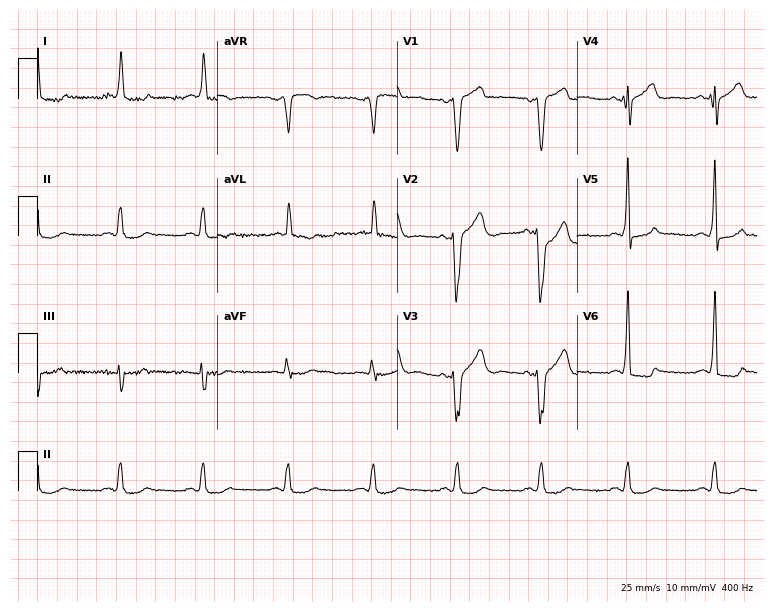
12-lead ECG from a man, 75 years old (7.3-second recording at 400 Hz). No first-degree AV block, right bundle branch block, left bundle branch block, sinus bradycardia, atrial fibrillation or sinus tachycardia recorded for this tracing. Other findings, if any, are not listed.